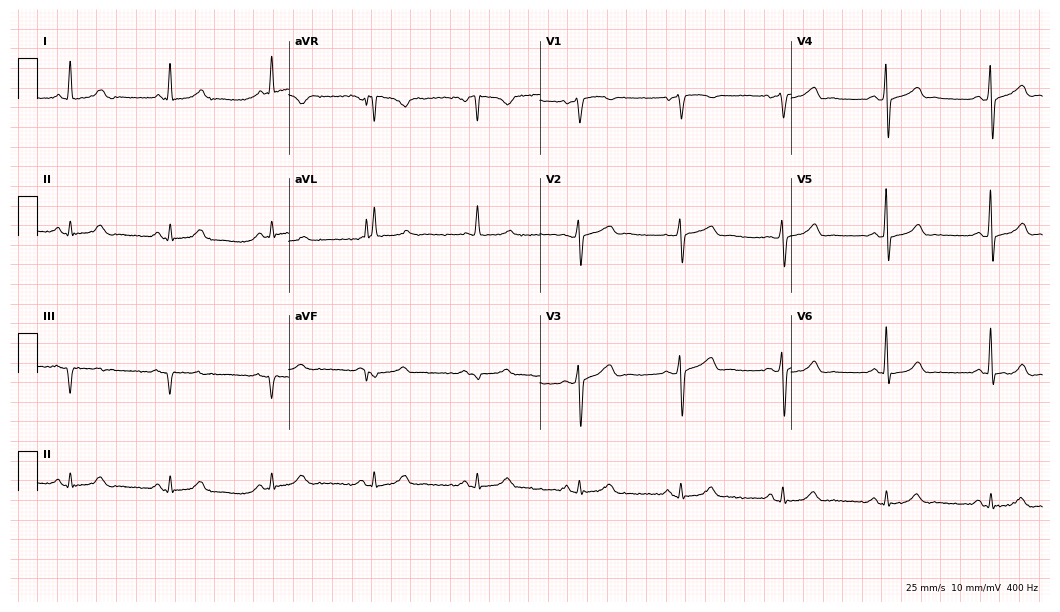
ECG (10.2-second recording at 400 Hz) — a male patient, 83 years old. Labelled as a normal ECG.